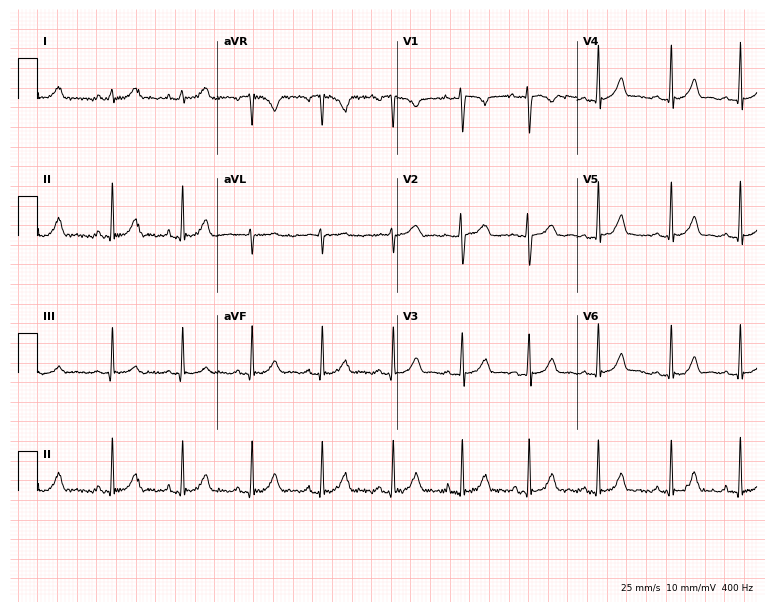
Resting 12-lead electrocardiogram (7.3-second recording at 400 Hz). Patient: a female, 22 years old. None of these six findings is recorded: first-degree AV block, right bundle branch block, left bundle branch block, sinus bradycardia, atrial fibrillation, sinus tachycardia. Other findings, if any, are not listed.